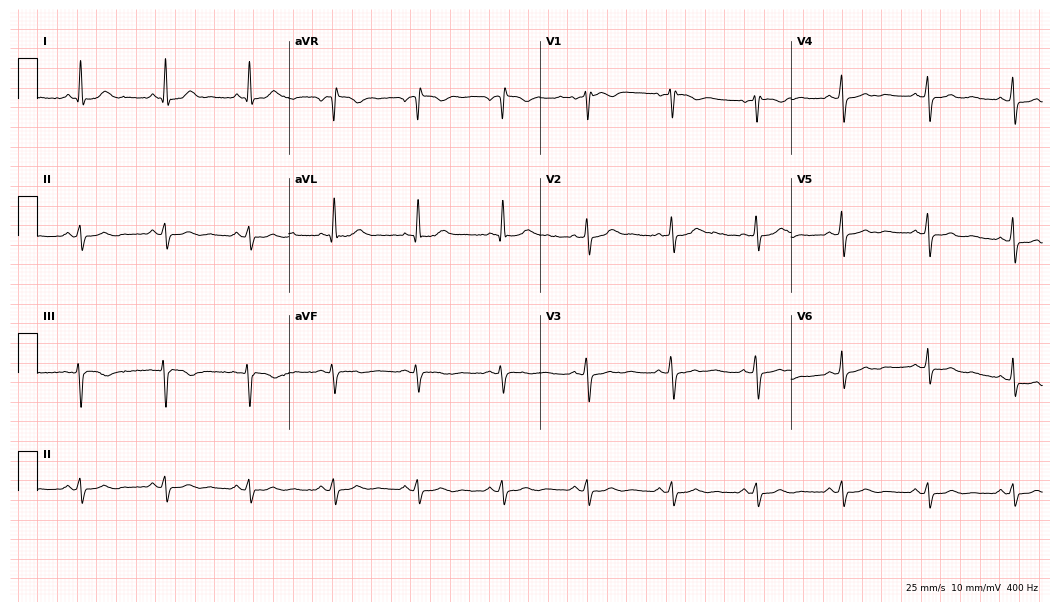
Electrocardiogram, a 62-year-old female. Of the six screened findings (first-degree AV block, right bundle branch block, left bundle branch block, sinus bradycardia, atrial fibrillation, sinus tachycardia), none is recorded. Only these six findings were labelled.